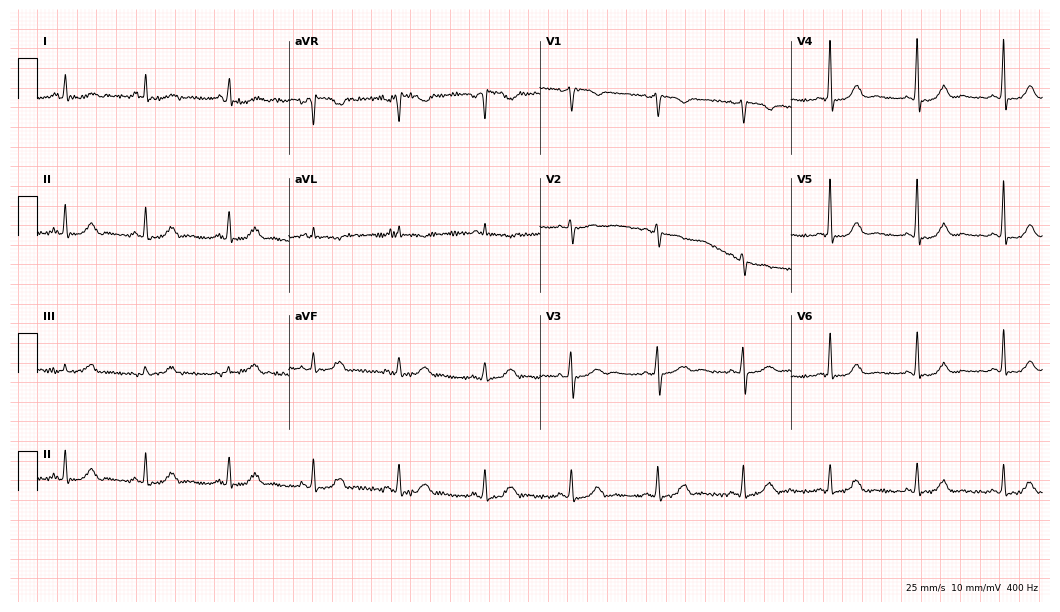
Electrocardiogram, a 64-year-old female patient. Overall reading on record: normal ECG.